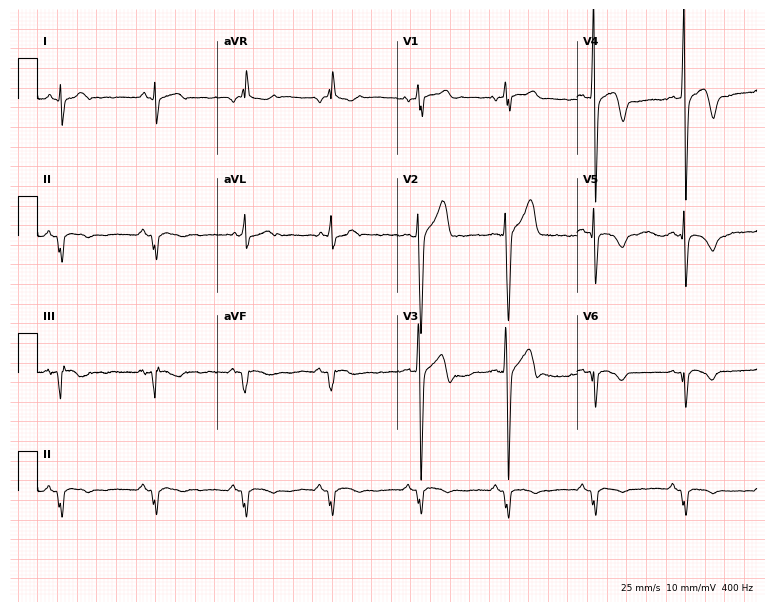
12-lead ECG (7.3-second recording at 400 Hz) from a 38-year-old male patient. Screened for six findings — first-degree AV block, right bundle branch block, left bundle branch block, sinus bradycardia, atrial fibrillation, sinus tachycardia — none is recorded.